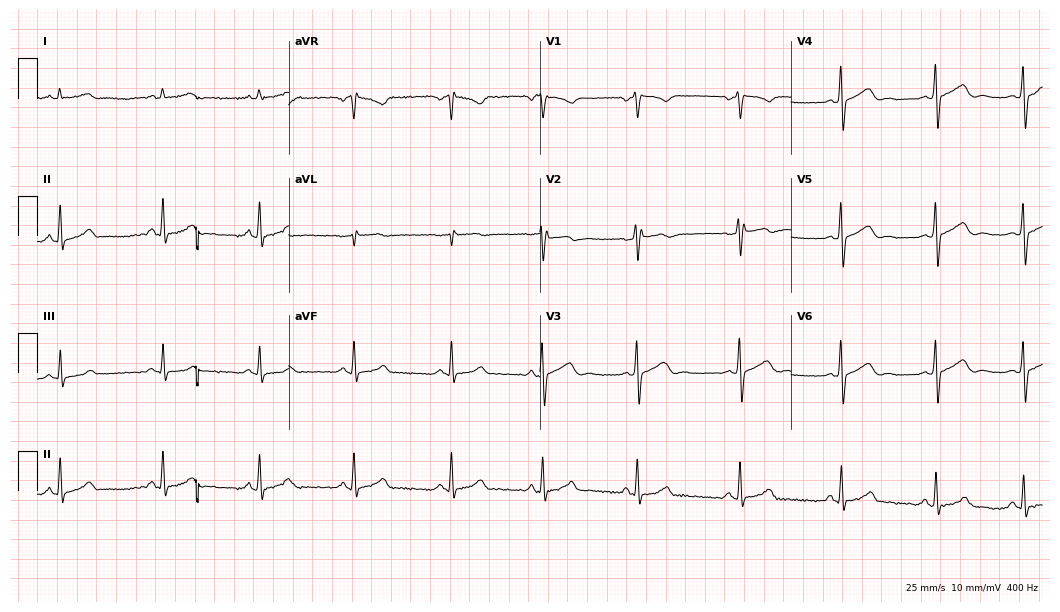
12-lead ECG (10.2-second recording at 400 Hz) from a 33-year-old male patient. Screened for six findings — first-degree AV block, right bundle branch block, left bundle branch block, sinus bradycardia, atrial fibrillation, sinus tachycardia — none is recorded. Other findings, if any, are not listed.